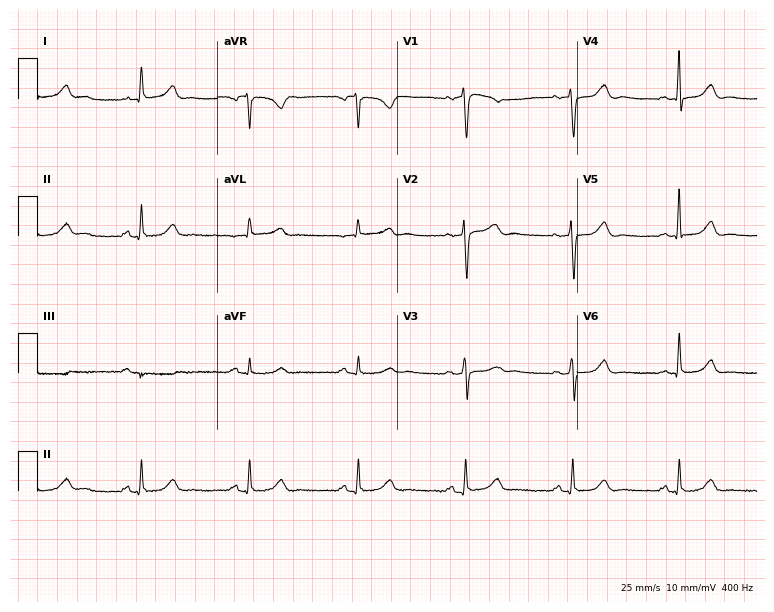
12-lead ECG from a female, 59 years old. Labelled as a normal ECG.